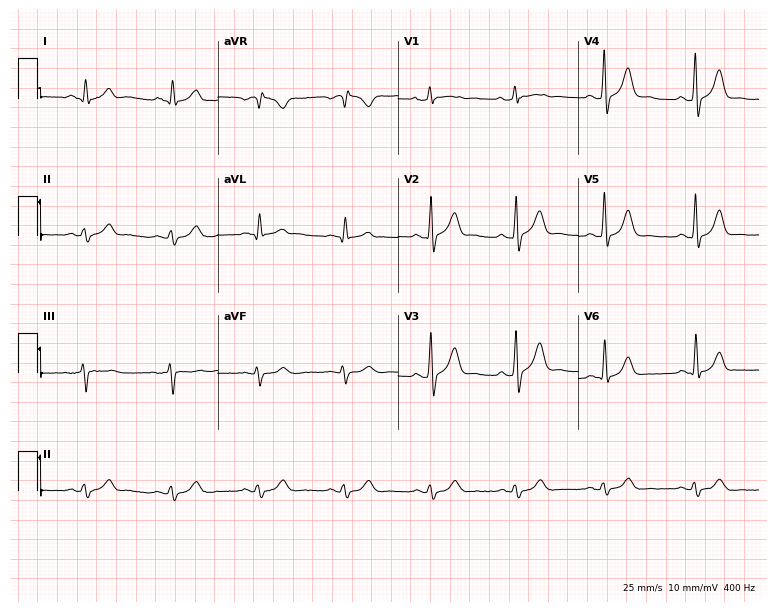
Standard 12-lead ECG recorded from an 84-year-old male patient (7.4-second recording at 400 Hz). None of these six findings is recorded: first-degree AV block, right bundle branch block (RBBB), left bundle branch block (LBBB), sinus bradycardia, atrial fibrillation (AF), sinus tachycardia. Other findings, if any, are not listed.